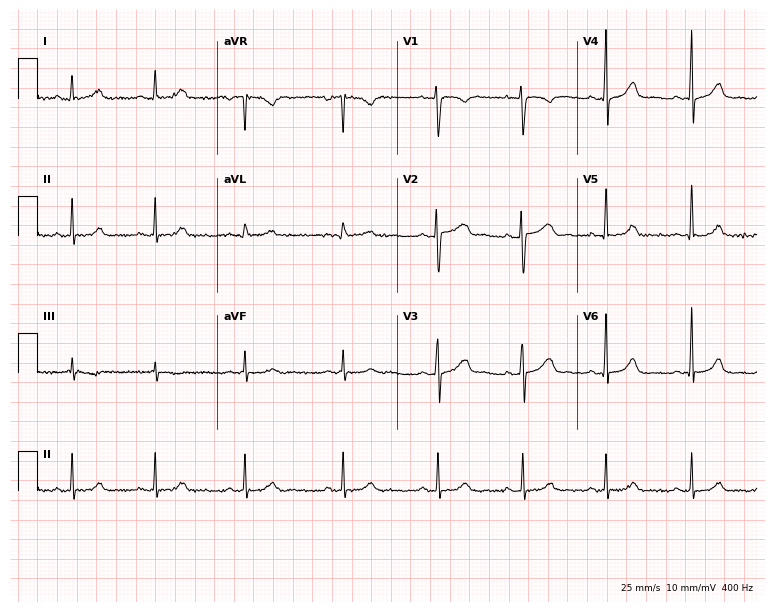
Resting 12-lead electrocardiogram (7.3-second recording at 400 Hz). Patient: a 34-year-old woman. None of these six findings is recorded: first-degree AV block, right bundle branch block, left bundle branch block, sinus bradycardia, atrial fibrillation, sinus tachycardia.